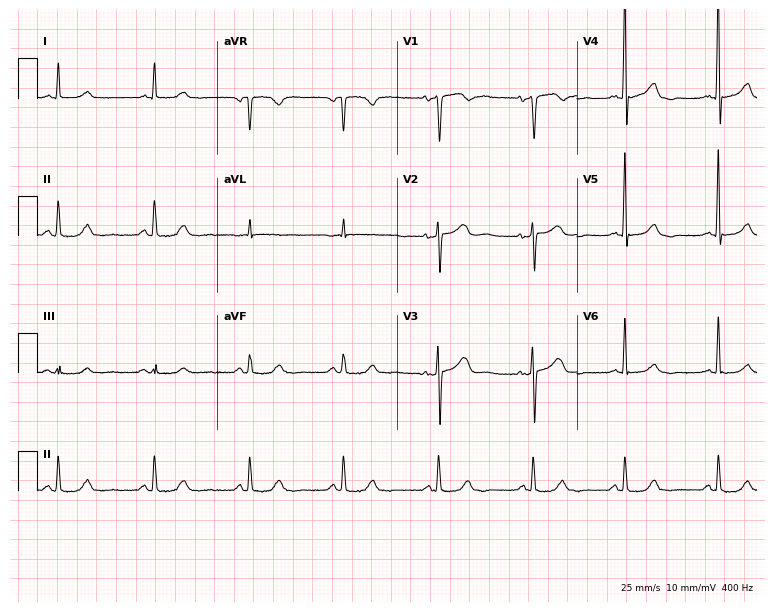
ECG (7.3-second recording at 400 Hz) — a 68-year-old male patient. Screened for six findings — first-degree AV block, right bundle branch block, left bundle branch block, sinus bradycardia, atrial fibrillation, sinus tachycardia — none is recorded. Findings outside these six are not listed.